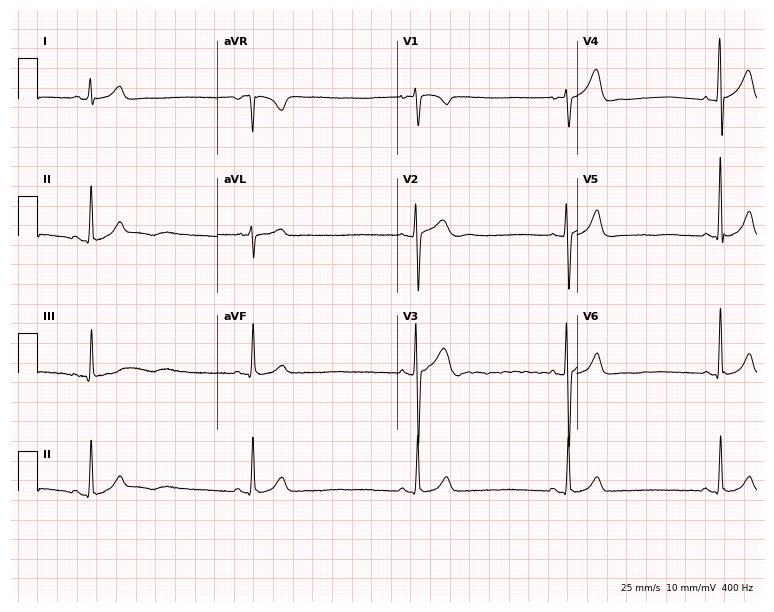
12-lead ECG from a male patient, 36 years old. Shows sinus bradycardia (a sinus rate of 50 beats per minute or less).